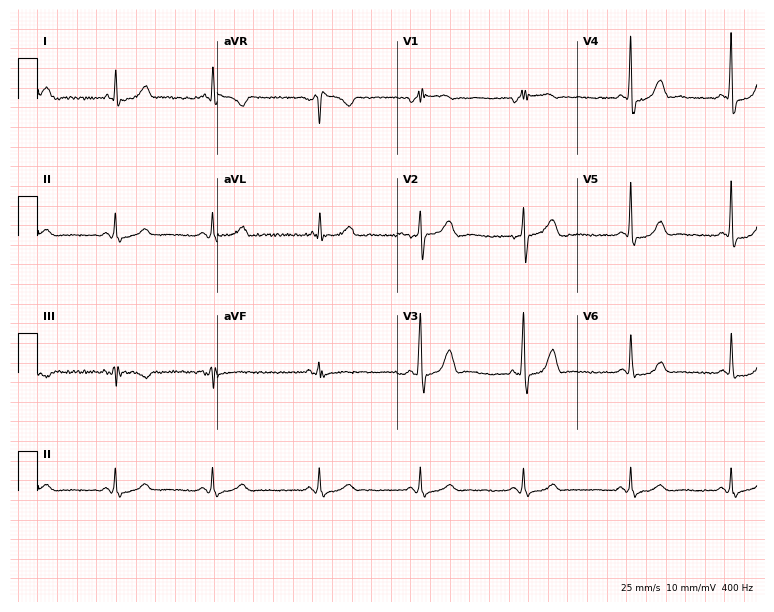
Standard 12-lead ECG recorded from a man, 36 years old. Read as a normal ECG.